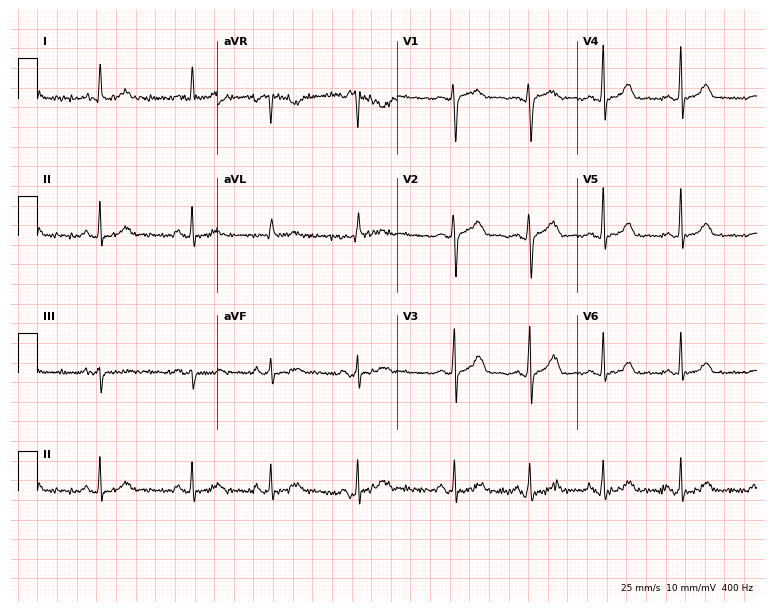
Standard 12-lead ECG recorded from a 33-year-old female (7.3-second recording at 400 Hz). Read as a normal ECG.